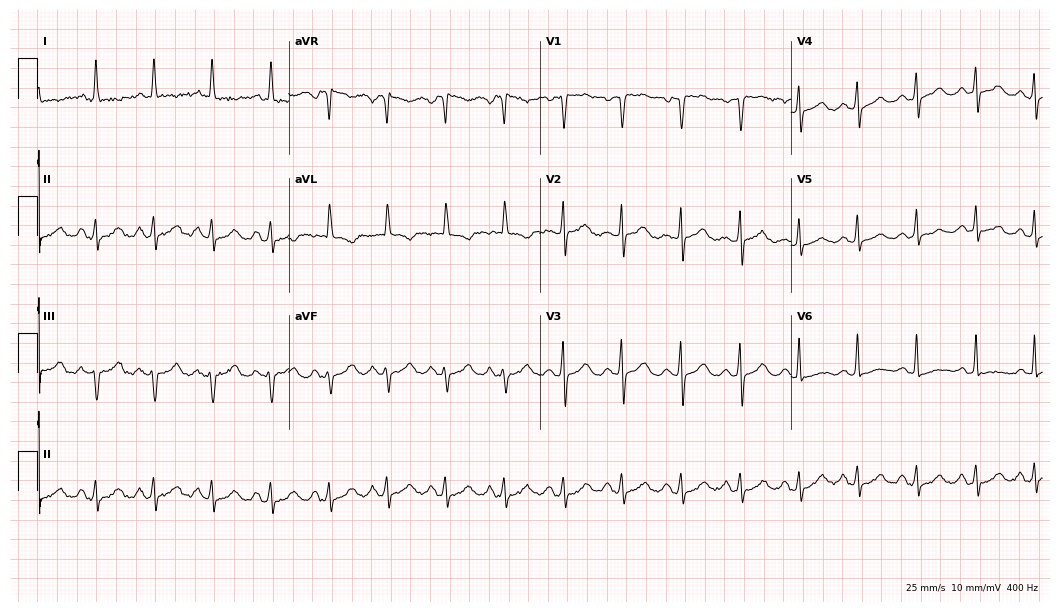
ECG — a woman, 42 years old. Screened for six findings — first-degree AV block, right bundle branch block, left bundle branch block, sinus bradycardia, atrial fibrillation, sinus tachycardia — none is recorded. Only these six findings were labelled.